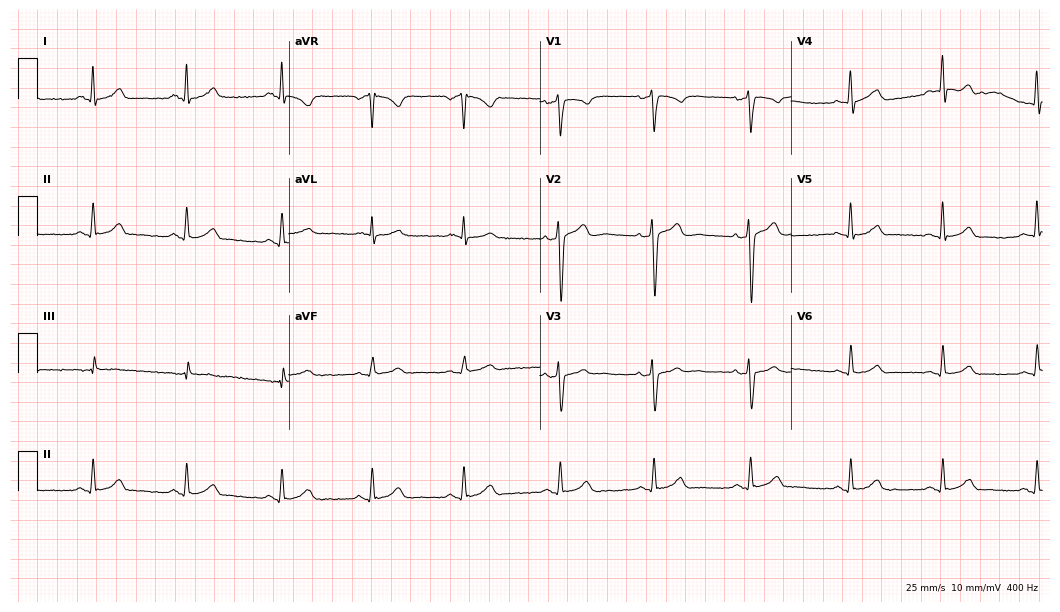
Electrocardiogram (10.2-second recording at 400 Hz), a 38-year-old male patient. Overall reading on record: normal ECG.